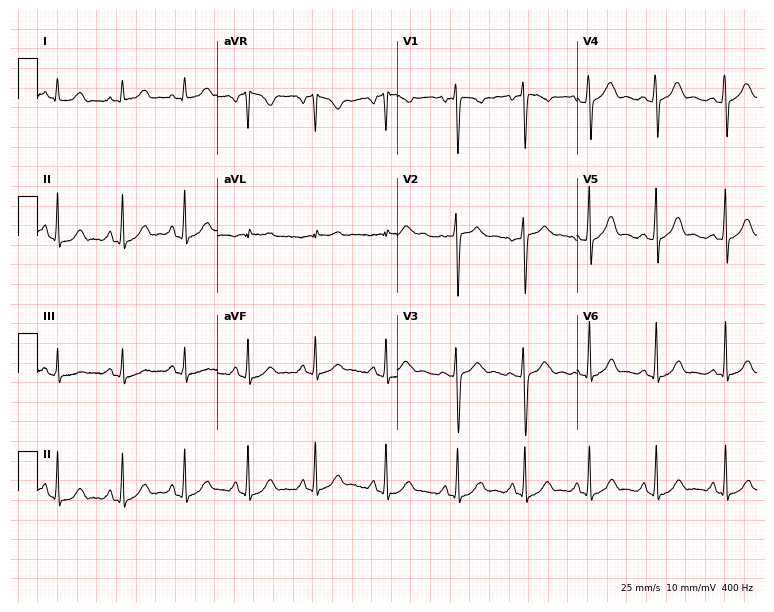
12-lead ECG from a female patient, 39 years old (7.3-second recording at 400 Hz). No first-degree AV block, right bundle branch block, left bundle branch block, sinus bradycardia, atrial fibrillation or sinus tachycardia recorded for this tracing. Only these six findings were labelled.